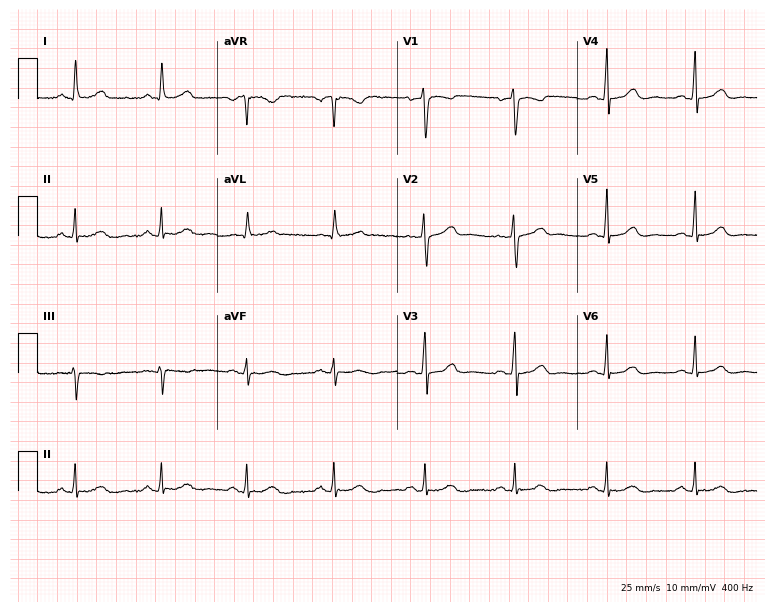
Electrocardiogram, a female, 56 years old. Overall reading on record: normal ECG.